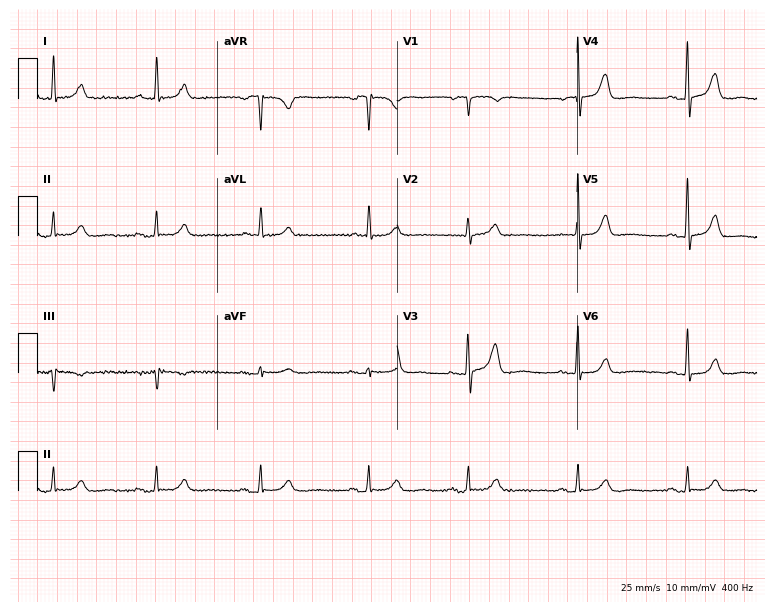
12-lead ECG from a 76-year-old woman (7.3-second recording at 400 Hz). Recorded interpretation: within normal limits.